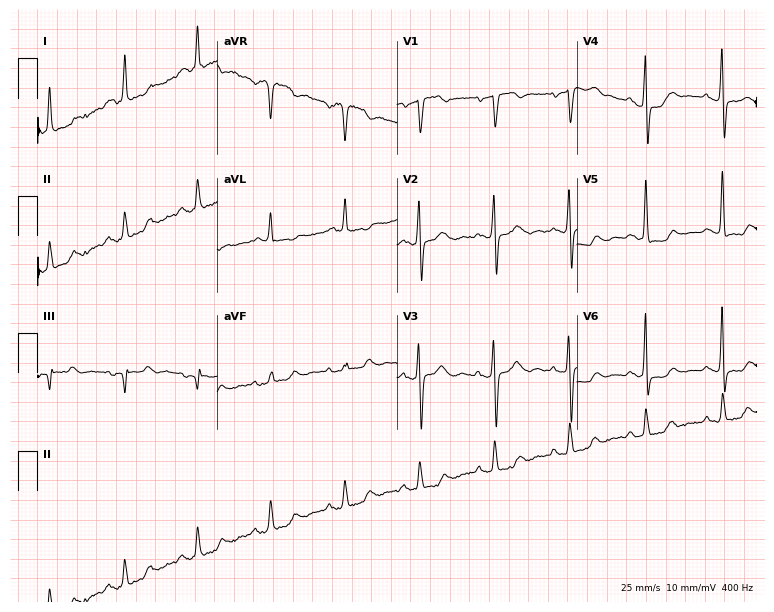
12-lead ECG from a man, 62 years old. Screened for six findings — first-degree AV block, right bundle branch block, left bundle branch block, sinus bradycardia, atrial fibrillation, sinus tachycardia — none is recorded.